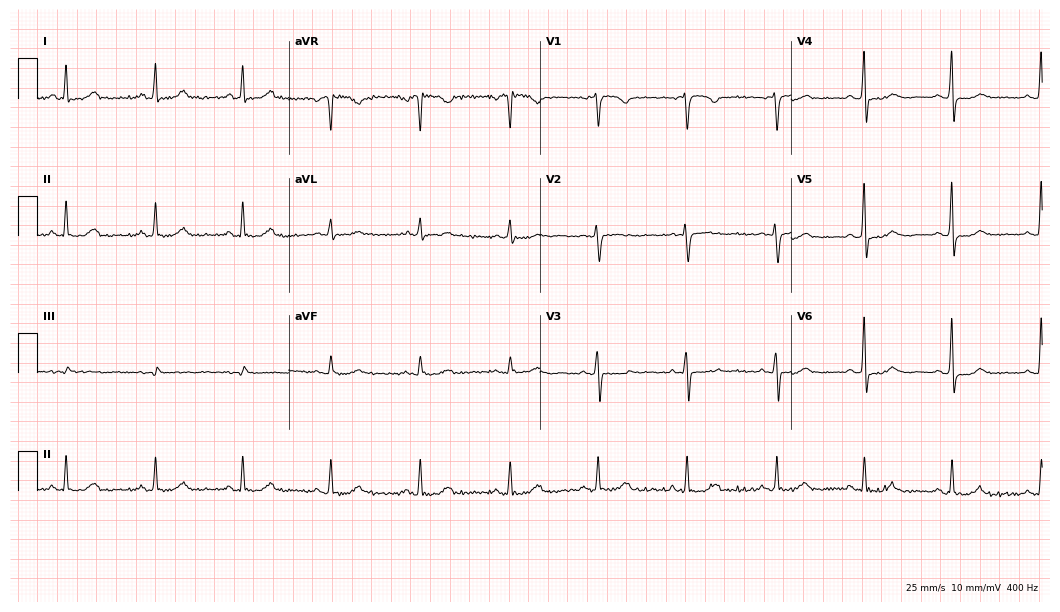
12-lead ECG from a female, 64 years old. No first-degree AV block, right bundle branch block (RBBB), left bundle branch block (LBBB), sinus bradycardia, atrial fibrillation (AF) or sinus tachycardia recorded for this tracing.